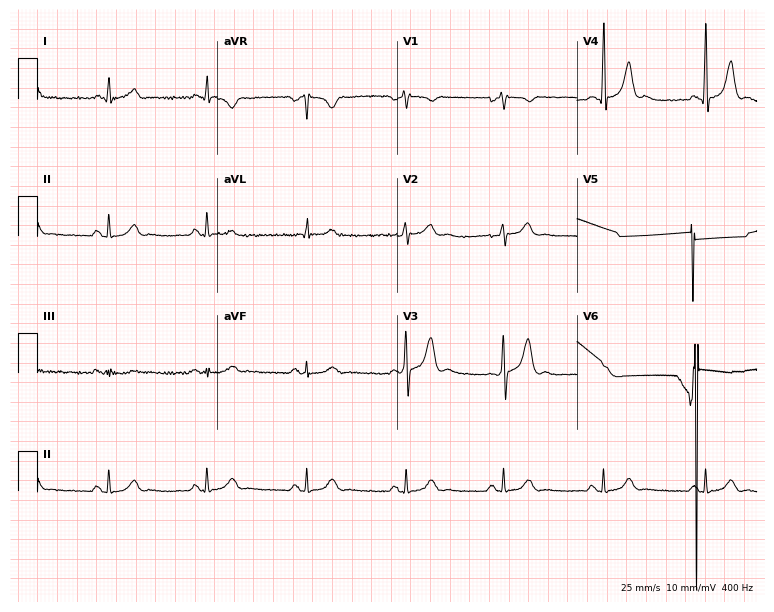
ECG — a male, 59 years old. Labelled as a normal ECG.